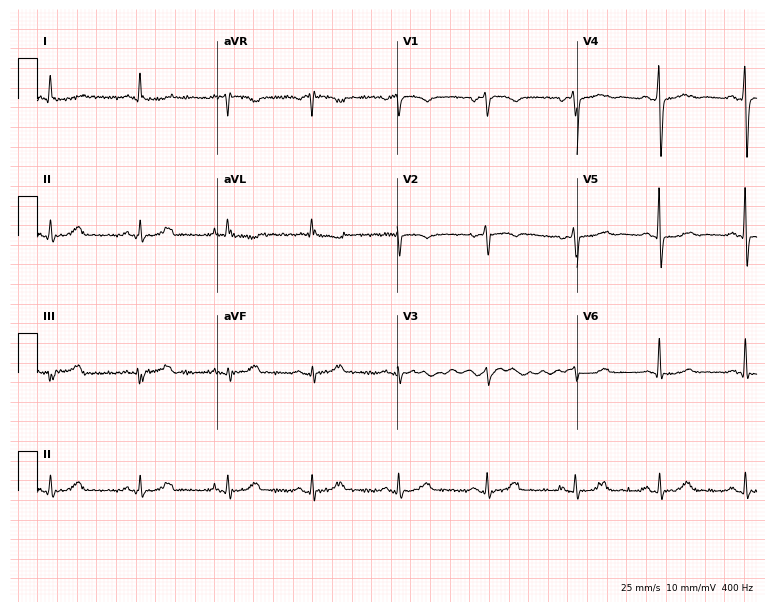
ECG — a 70-year-old woman. Screened for six findings — first-degree AV block, right bundle branch block (RBBB), left bundle branch block (LBBB), sinus bradycardia, atrial fibrillation (AF), sinus tachycardia — none is recorded.